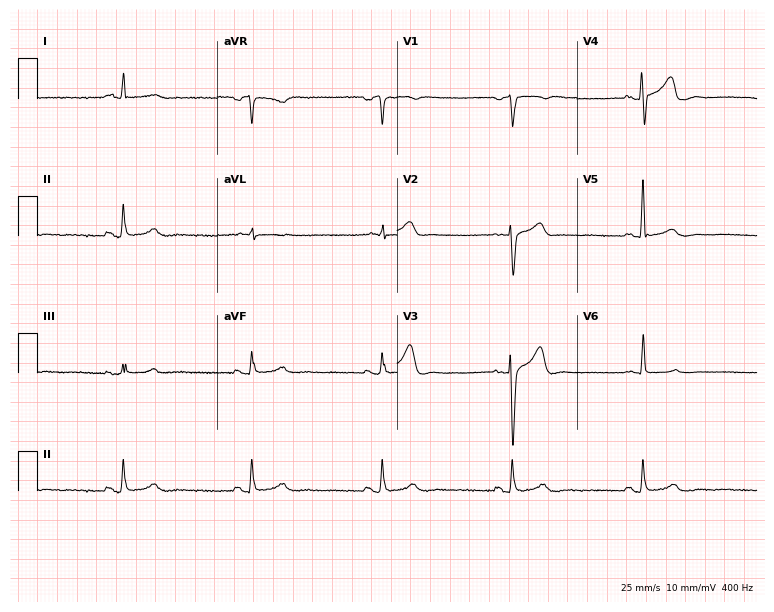
12-lead ECG from a male patient, 51 years old. Shows sinus bradycardia (a sinus rate of 50 beats per minute or less).